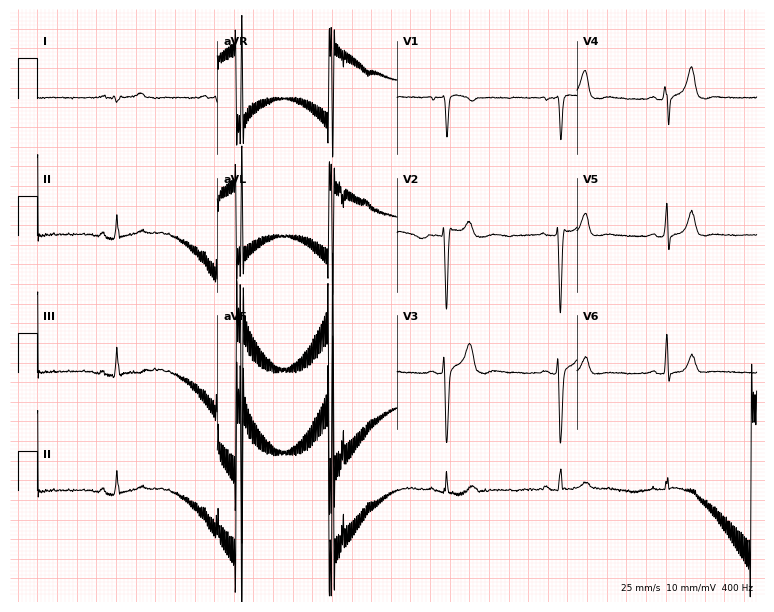
Standard 12-lead ECG recorded from a 39-year-old male. None of these six findings is recorded: first-degree AV block, right bundle branch block, left bundle branch block, sinus bradycardia, atrial fibrillation, sinus tachycardia.